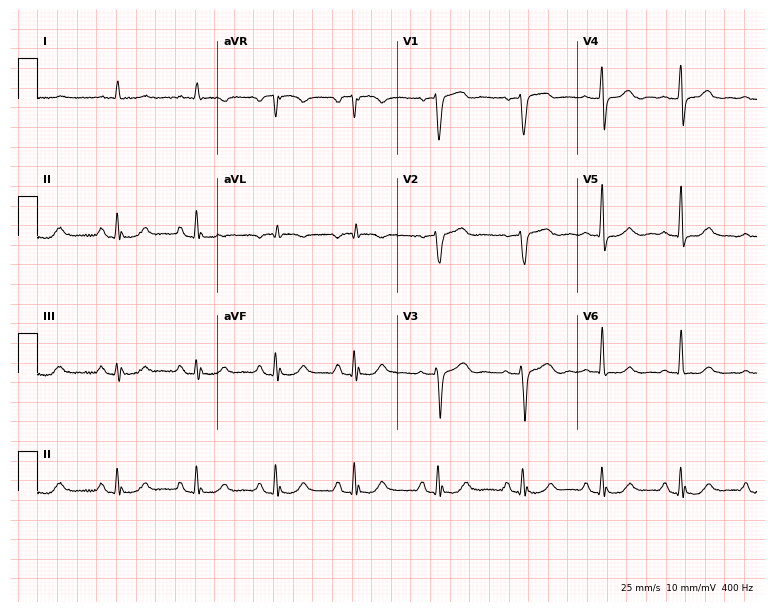
ECG — a 72-year-old man. Screened for six findings — first-degree AV block, right bundle branch block (RBBB), left bundle branch block (LBBB), sinus bradycardia, atrial fibrillation (AF), sinus tachycardia — none is recorded.